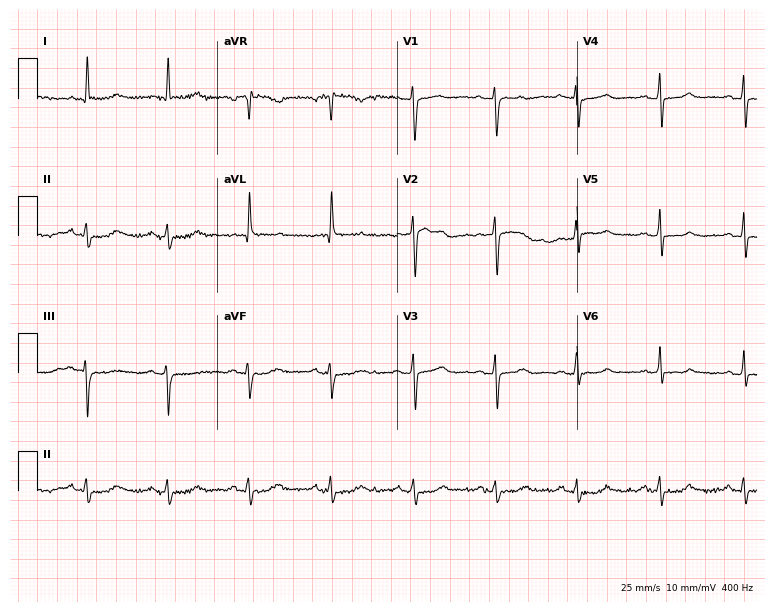
12-lead ECG from a female, 65 years old (7.3-second recording at 400 Hz). Recorded interpretation: within normal limits.